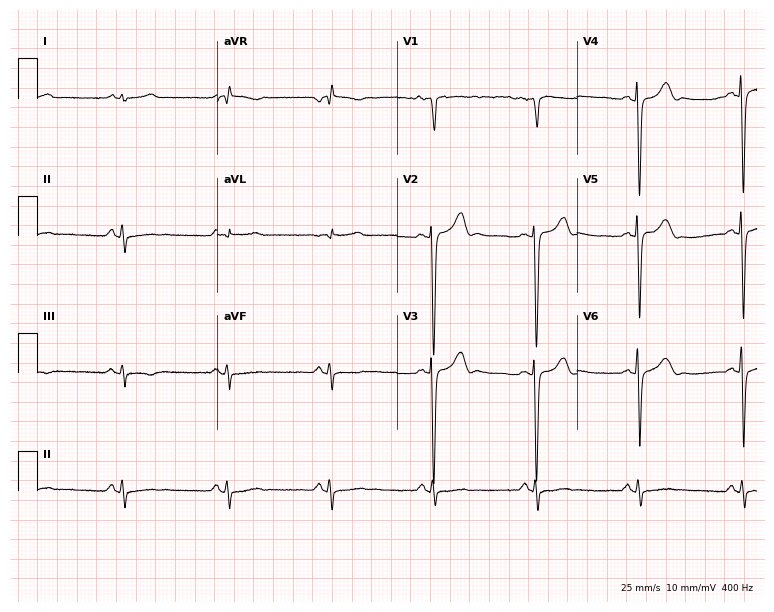
ECG — a 51-year-old male patient. Screened for six findings — first-degree AV block, right bundle branch block (RBBB), left bundle branch block (LBBB), sinus bradycardia, atrial fibrillation (AF), sinus tachycardia — none is recorded.